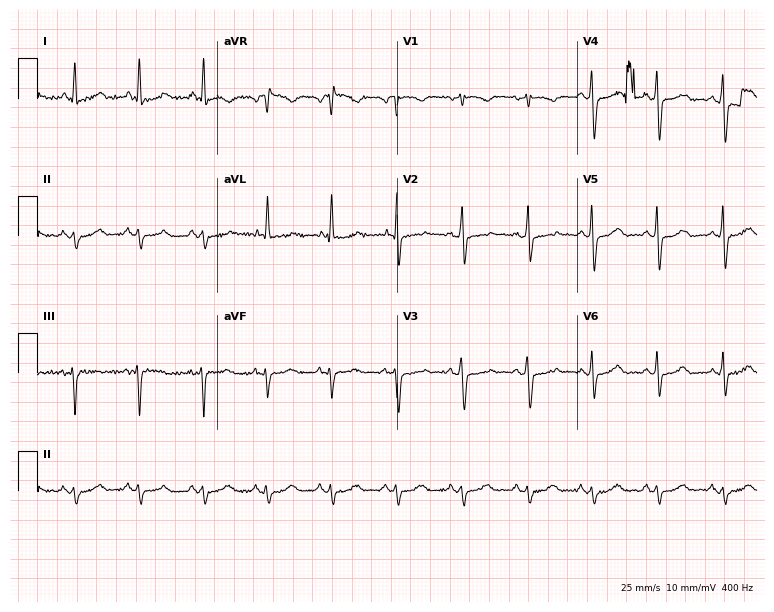
12-lead ECG (7.3-second recording at 400 Hz) from a female, 77 years old. Screened for six findings — first-degree AV block, right bundle branch block, left bundle branch block, sinus bradycardia, atrial fibrillation, sinus tachycardia — none is recorded.